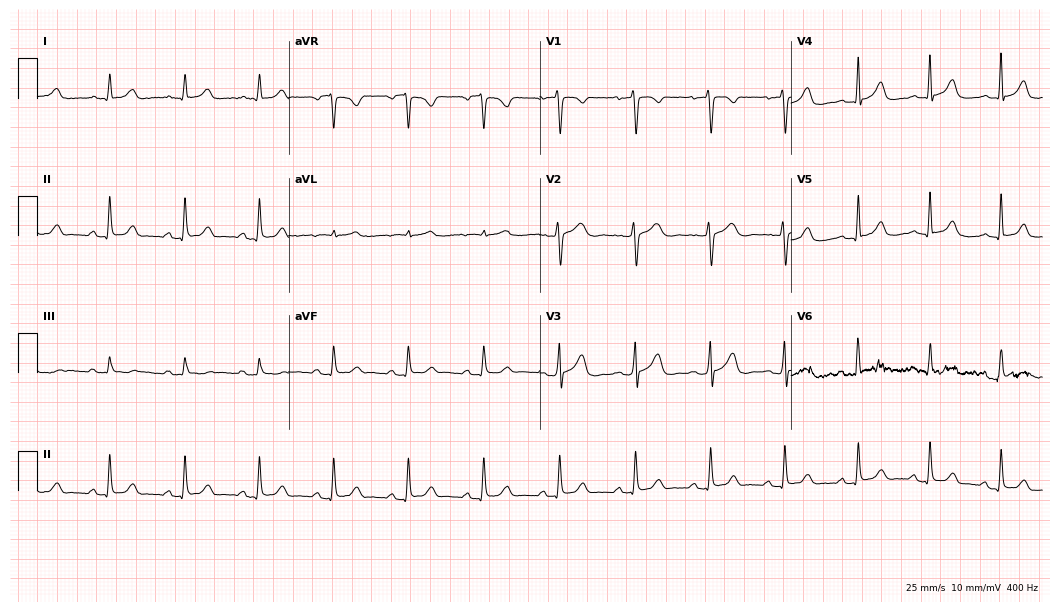
ECG — a 27-year-old woman. Labelled as a normal ECG.